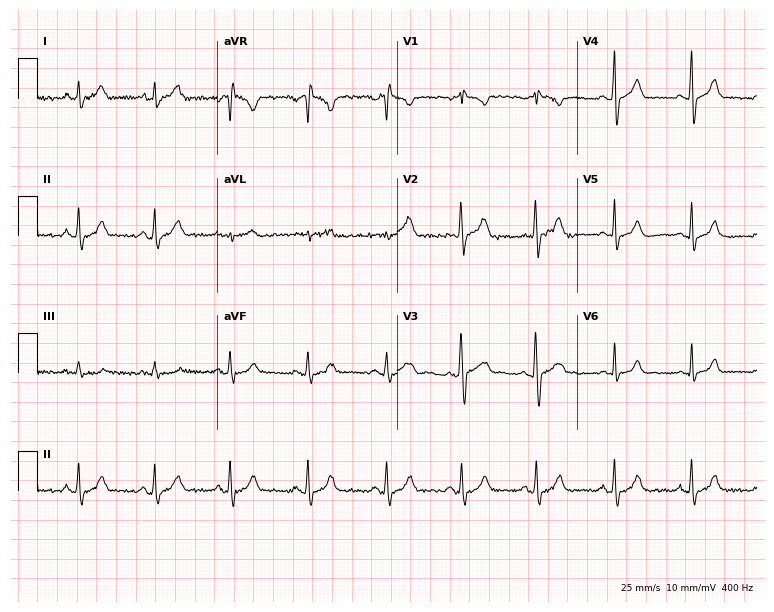
Resting 12-lead electrocardiogram (7.3-second recording at 400 Hz). Patient: a woman, 28 years old. None of these six findings is recorded: first-degree AV block, right bundle branch block, left bundle branch block, sinus bradycardia, atrial fibrillation, sinus tachycardia. Other findings, if any, are not listed.